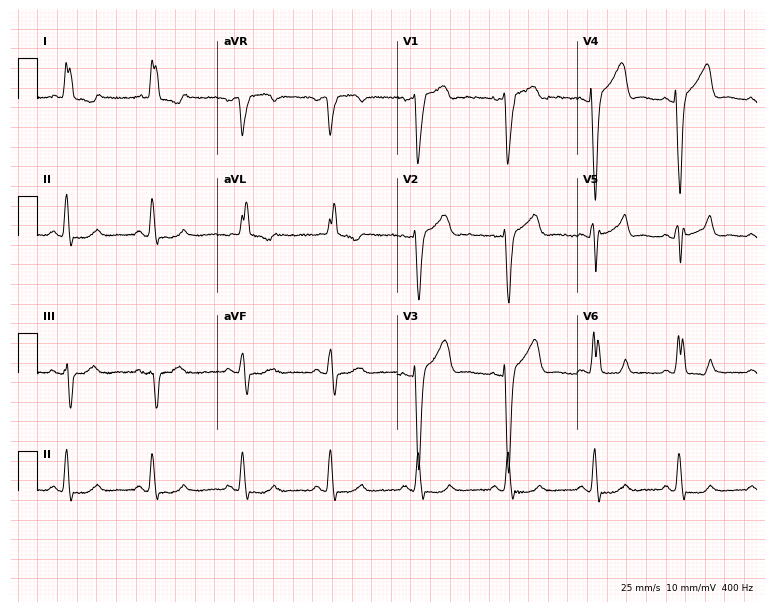
12-lead ECG (7.3-second recording at 400 Hz) from a woman, 77 years old. Findings include left bundle branch block.